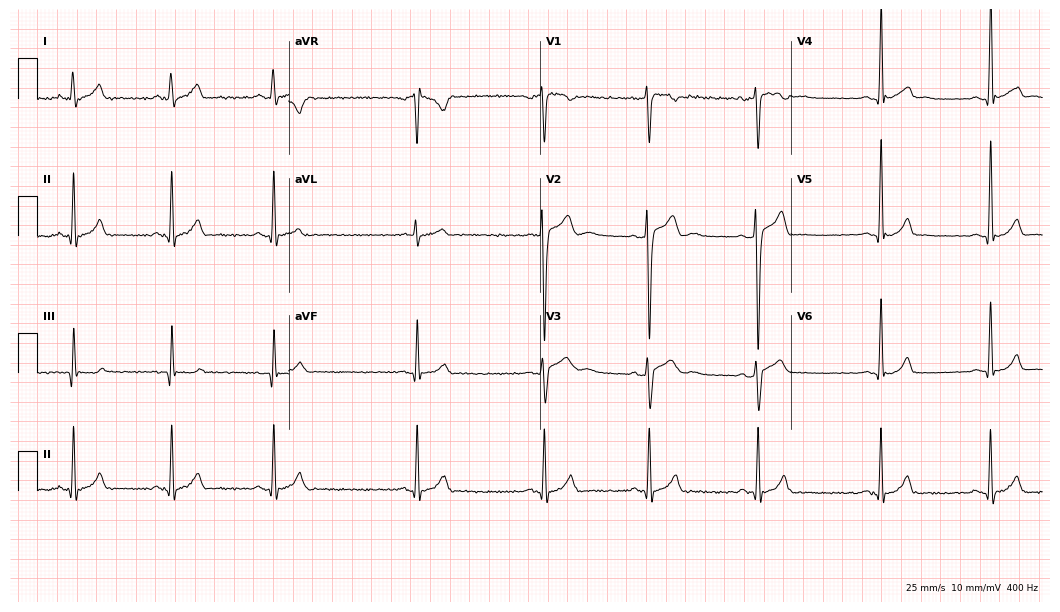
Standard 12-lead ECG recorded from a man, 20 years old. Read as a normal ECG.